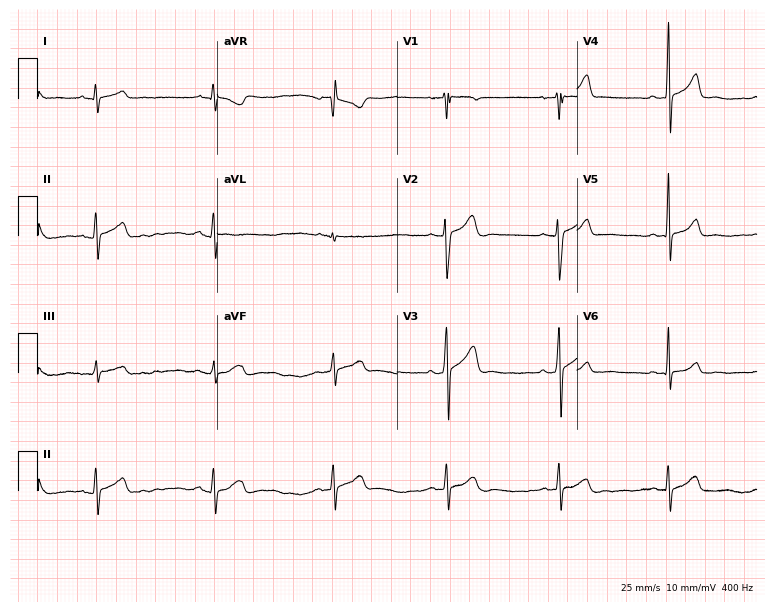
Electrocardiogram, a male patient, 22 years old. Of the six screened findings (first-degree AV block, right bundle branch block (RBBB), left bundle branch block (LBBB), sinus bradycardia, atrial fibrillation (AF), sinus tachycardia), none is recorded. Findings outside these six are not listed.